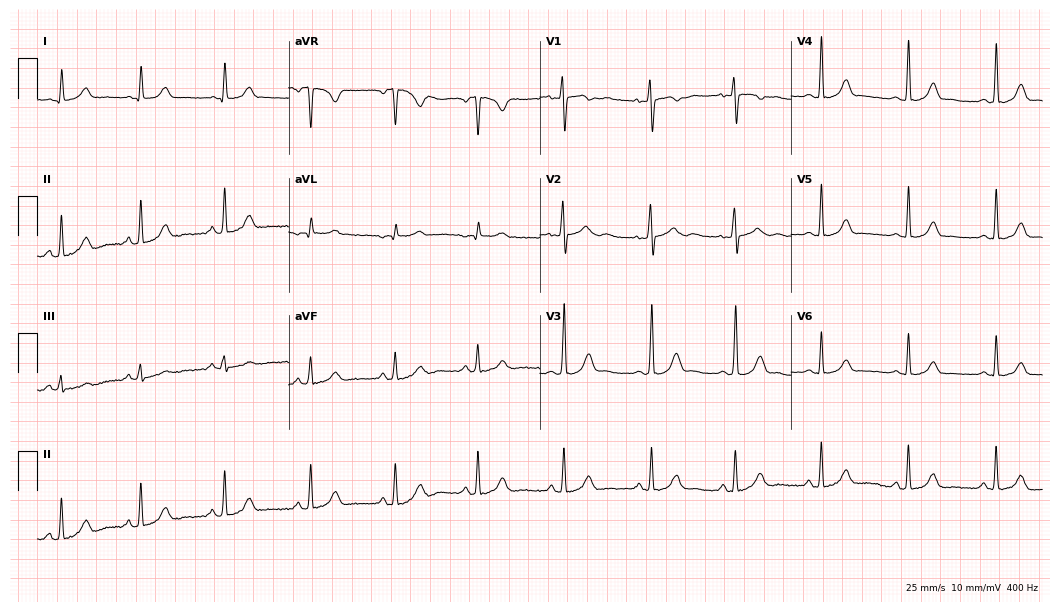
Electrocardiogram, a 25-year-old female patient. Overall reading on record: normal ECG.